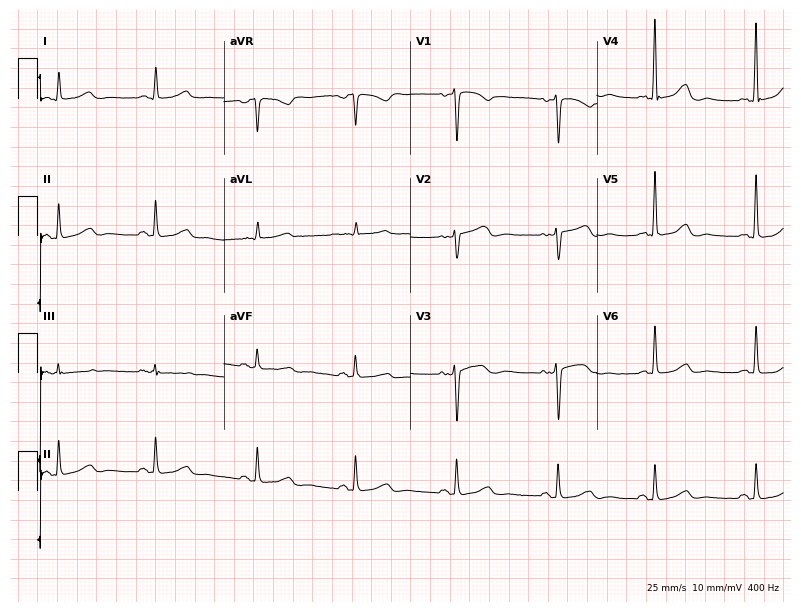
Electrocardiogram, a 65-year-old female patient. Of the six screened findings (first-degree AV block, right bundle branch block, left bundle branch block, sinus bradycardia, atrial fibrillation, sinus tachycardia), none is recorded. Findings outside these six are not listed.